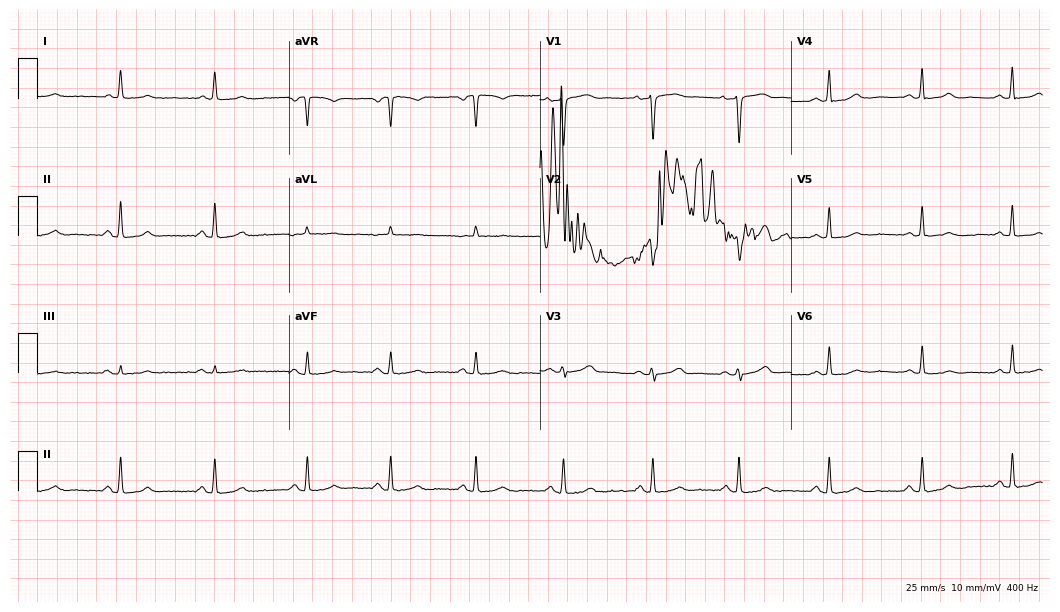
Resting 12-lead electrocardiogram (10.2-second recording at 400 Hz). Patient: a woman, 49 years old. Read as a normal ECG.